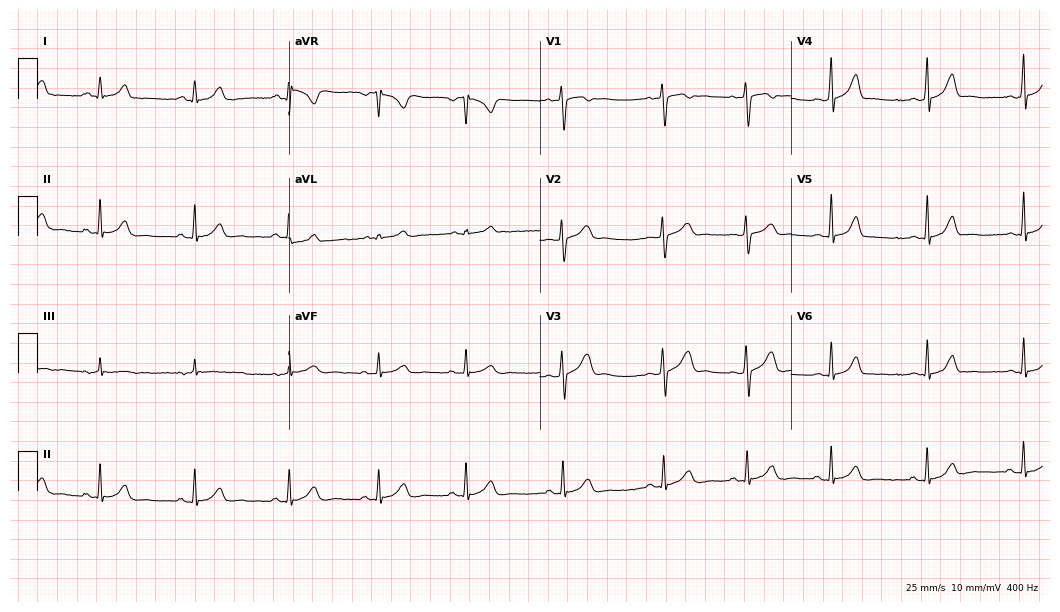
ECG (10.2-second recording at 400 Hz) — a 22-year-old female. Labelled as a normal ECG.